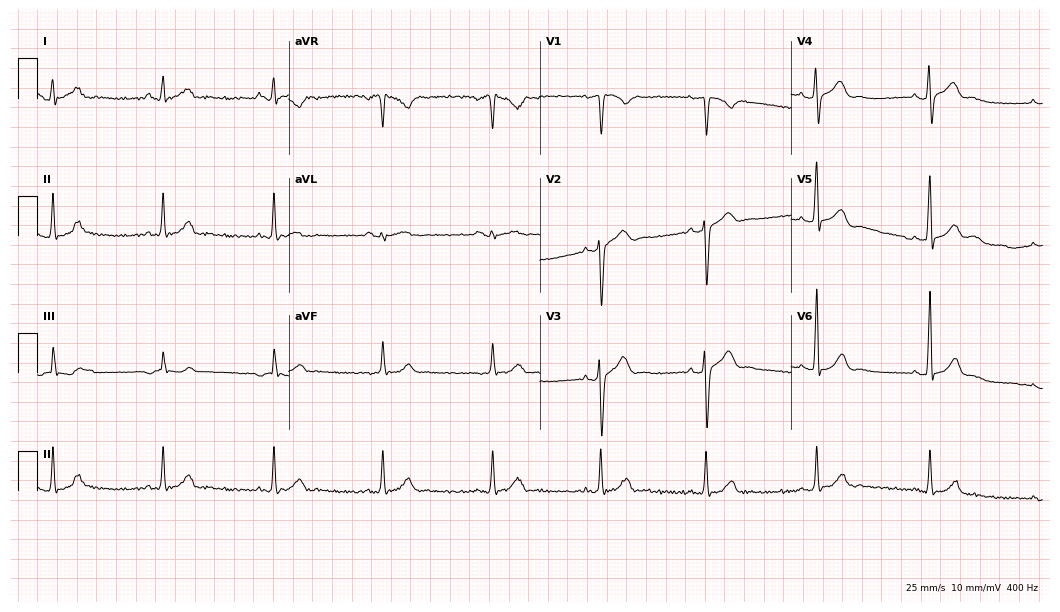
12-lead ECG from a male, 23 years old (10.2-second recording at 400 Hz). No first-degree AV block, right bundle branch block, left bundle branch block, sinus bradycardia, atrial fibrillation or sinus tachycardia recorded for this tracing.